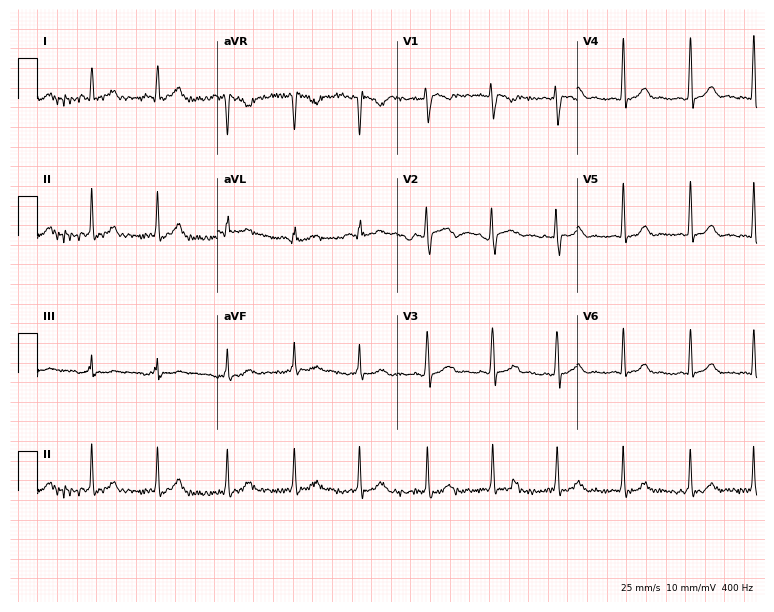
12-lead ECG from a 22-year-old female. Screened for six findings — first-degree AV block, right bundle branch block (RBBB), left bundle branch block (LBBB), sinus bradycardia, atrial fibrillation (AF), sinus tachycardia — none is recorded. Only these six findings were labelled.